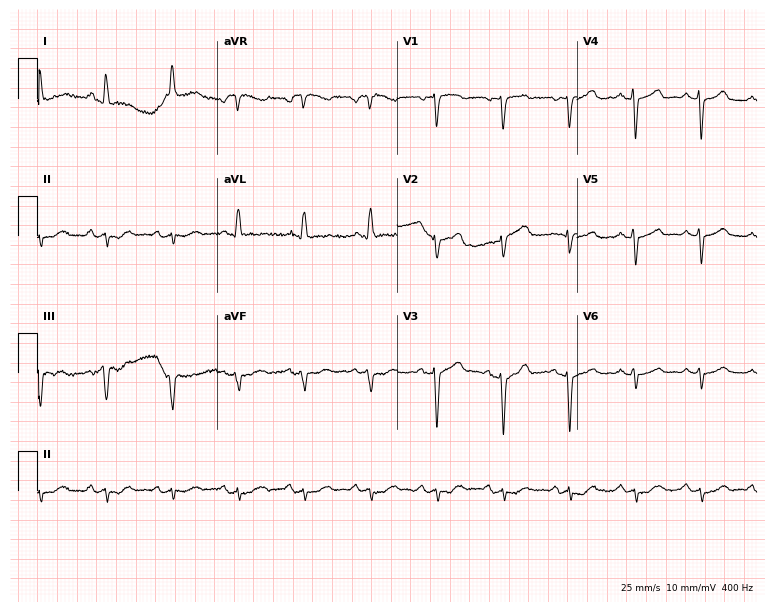
Electrocardiogram, a woman, 56 years old. Of the six screened findings (first-degree AV block, right bundle branch block (RBBB), left bundle branch block (LBBB), sinus bradycardia, atrial fibrillation (AF), sinus tachycardia), none is recorded.